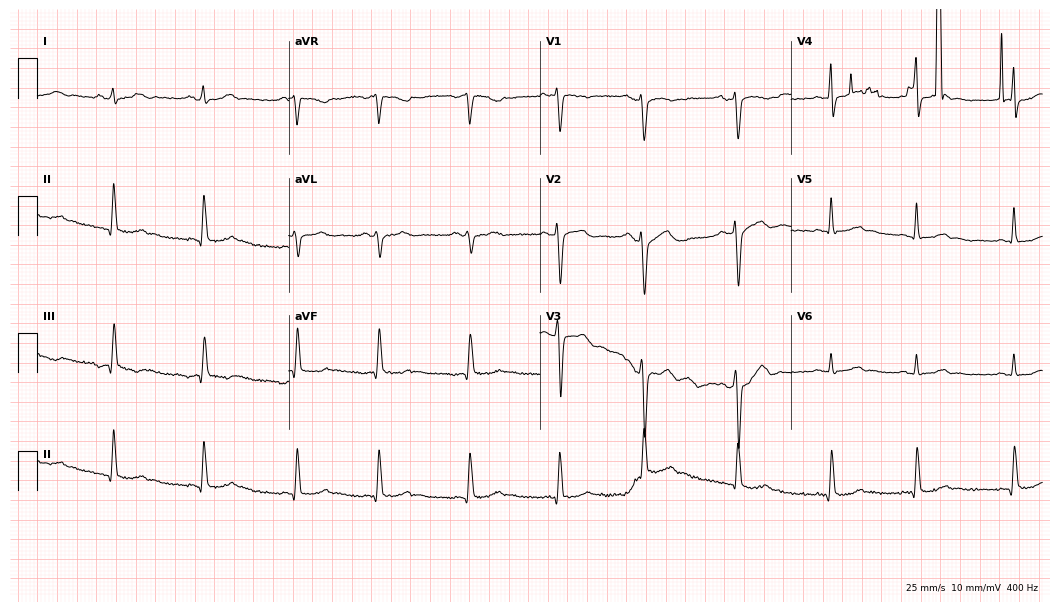
Electrocardiogram (10.2-second recording at 400 Hz), a female patient, 34 years old. Of the six screened findings (first-degree AV block, right bundle branch block (RBBB), left bundle branch block (LBBB), sinus bradycardia, atrial fibrillation (AF), sinus tachycardia), none is recorded.